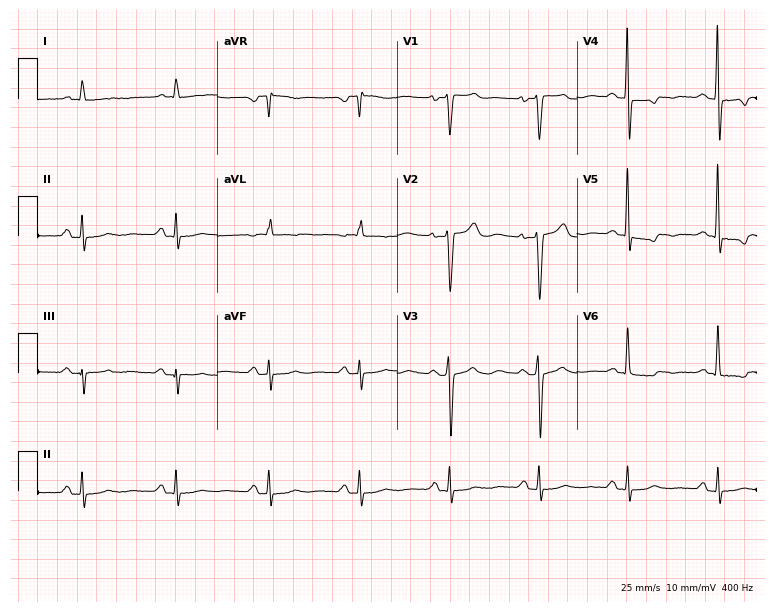
Resting 12-lead electrocardiogram (7.3-second recording at 400 Hz). Patient: a woman, 73 years old. None of these six findings is recorded: first-degree AV block, right bundle branch block (RBBB), left bundle branch block (LBBB), sinus bradycardia, atrial fibrillation (AF), sinus tachycardia. Findings outside these six are not listed.